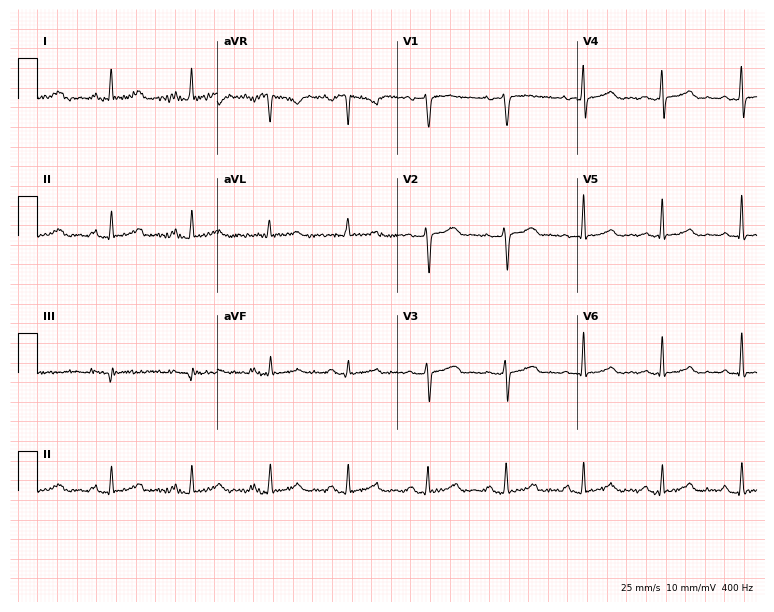
Resting 12-lead electrocardiogram (7.3-second recording at 400 Hz). Patient: a woman, 37 years old. Read as a normal ECG.